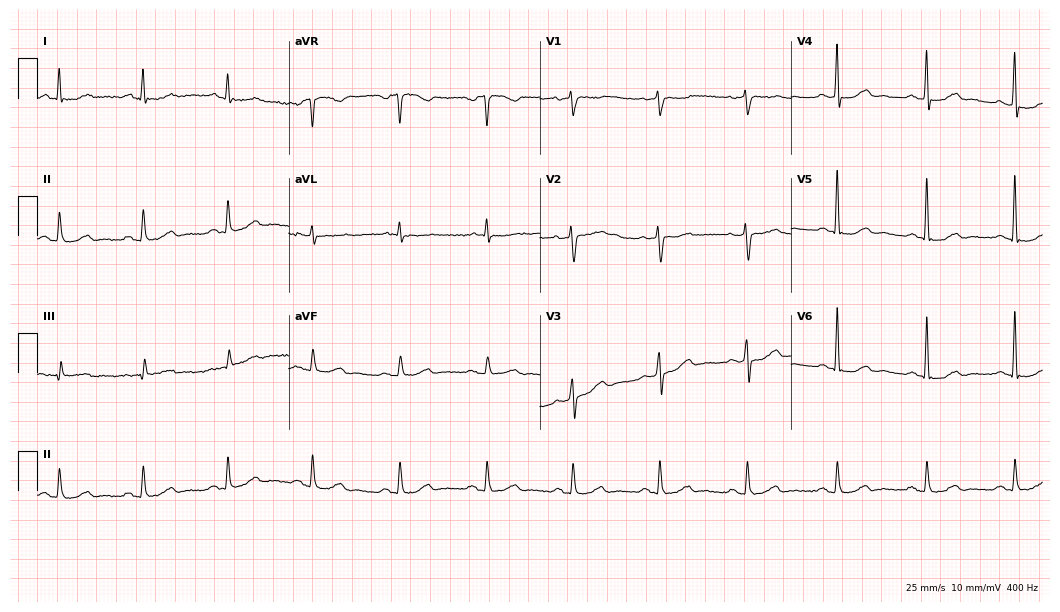
12-lead ECG from a 73-year-old man. Recorded interpretation: within normal limits.